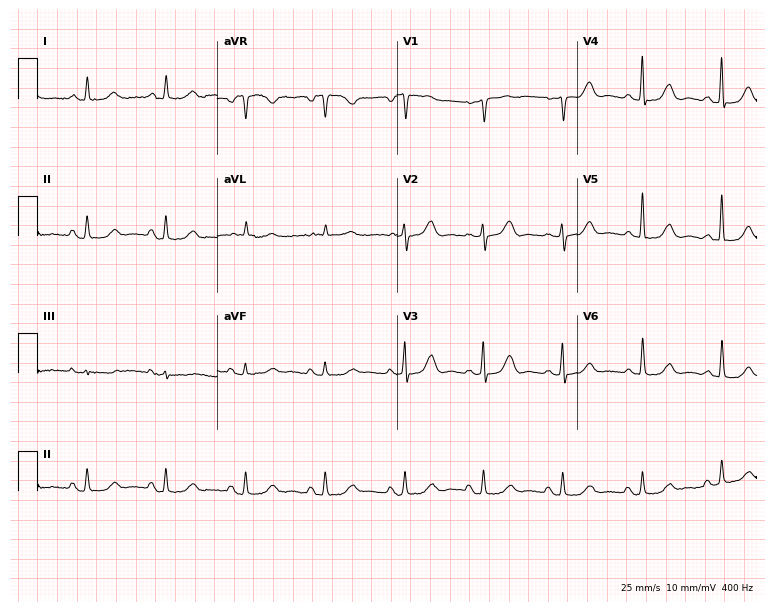
Electrocardiogram (7.3-second recording at 400 Hz), a woman, 66 years old. Of the six screened findings (first-degree AV block, right bundle branch block, left bundle branch block, sinus bradycardia, atrial fibrillation, sinus tachycardia), none is recorded.